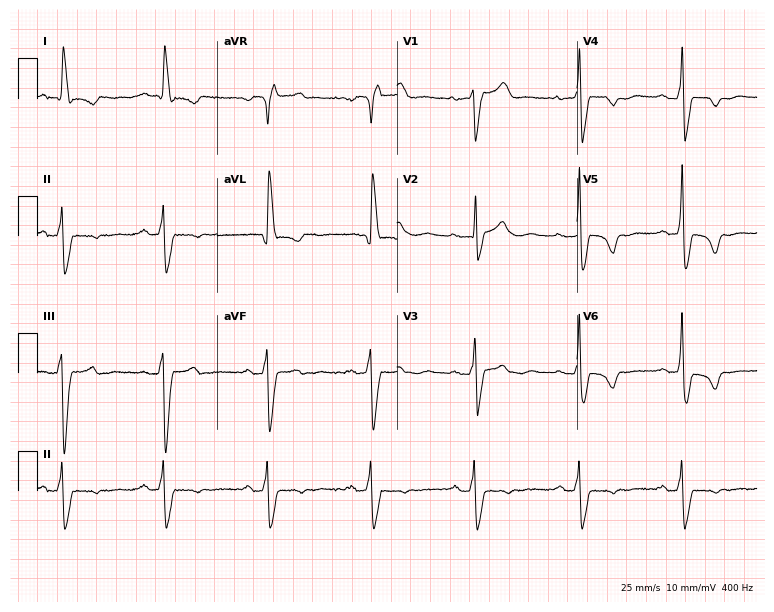
Standard 12-lead ECG recorded from a female patient, 76 years old (7.3-second recording at 400 Hz). None of these six findings is recorded: first-degree AV block, right bundle branch block (RBBB), left bundle branch block (LBBB), sinus bradycardia, atrial fibrillation (AF), sinus tachycardia. Other findings, if any, are not listed.